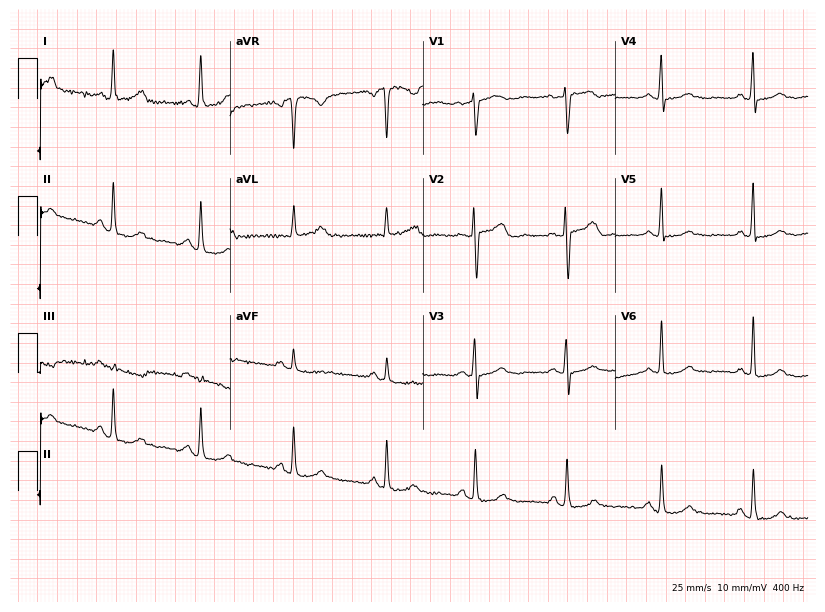
Electrocardiogram, a female, 69 years old. Of the six screened findings (first-degree AV block, right bundle branch block (RBBB), left bundle branch block (LBBB), sinus bradycardia, atrial fibrillation (AF), sinus tachycardia), none is recorded. Other findings, if any, are not listed.